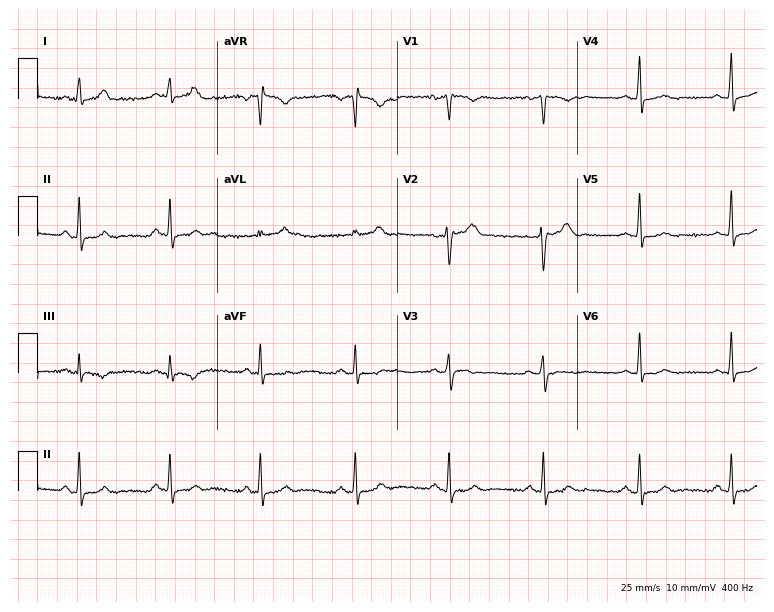
Electrocardiogram, a 31-year-old female patient. Overall reading on record: normal ECG.